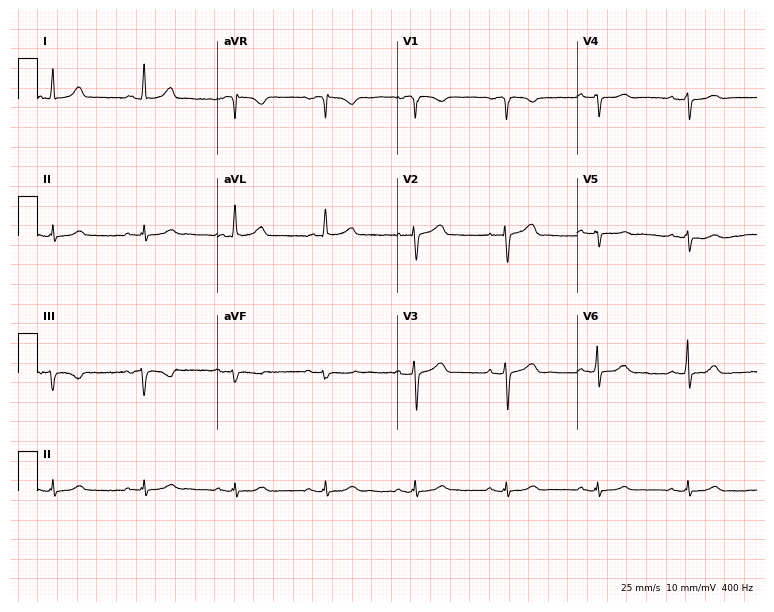
Resting 12-lead electrocardiogram (7.3-second recording at 400 Hz). Patient: an 81-year-old male. None of these six findings is recorded: first-degree AV block, right bundle branch block, left bundle branch block, sinus bradycardia, atrial fibrillation, sinus tachycardia.